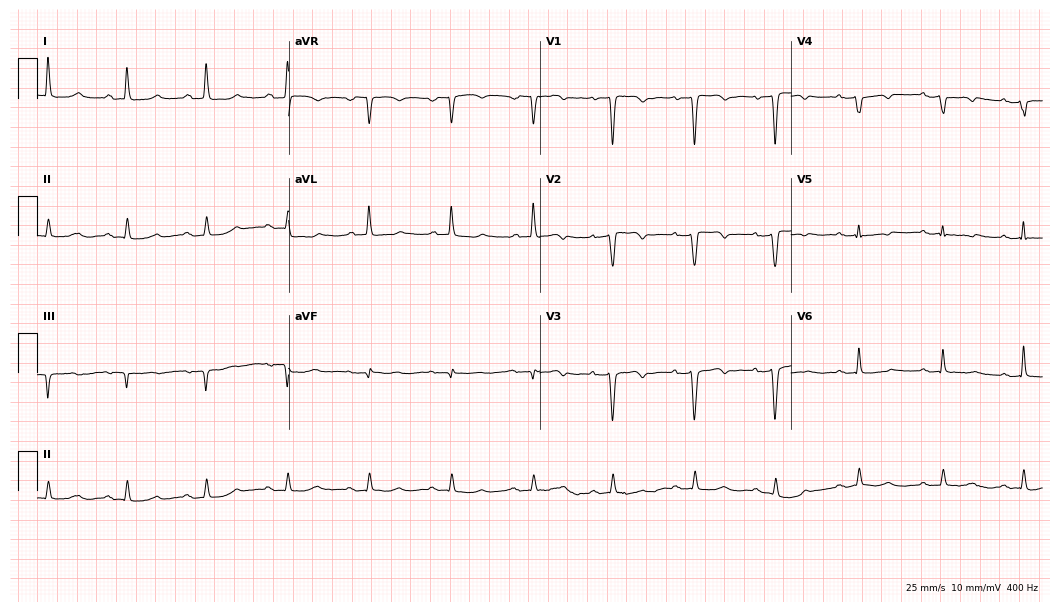
Electrocardiogram (10.2-second recording at 400 Hz), a 55-year-old woman. Of the six screened findings (first-degree AV block, right bundle branch block (RBBB), left bundle branch block (LBBB), sinus bradycardia, atrial fibrillation (AF), sinus tachycardia), none is recorded. Findings outside these six are not listed.